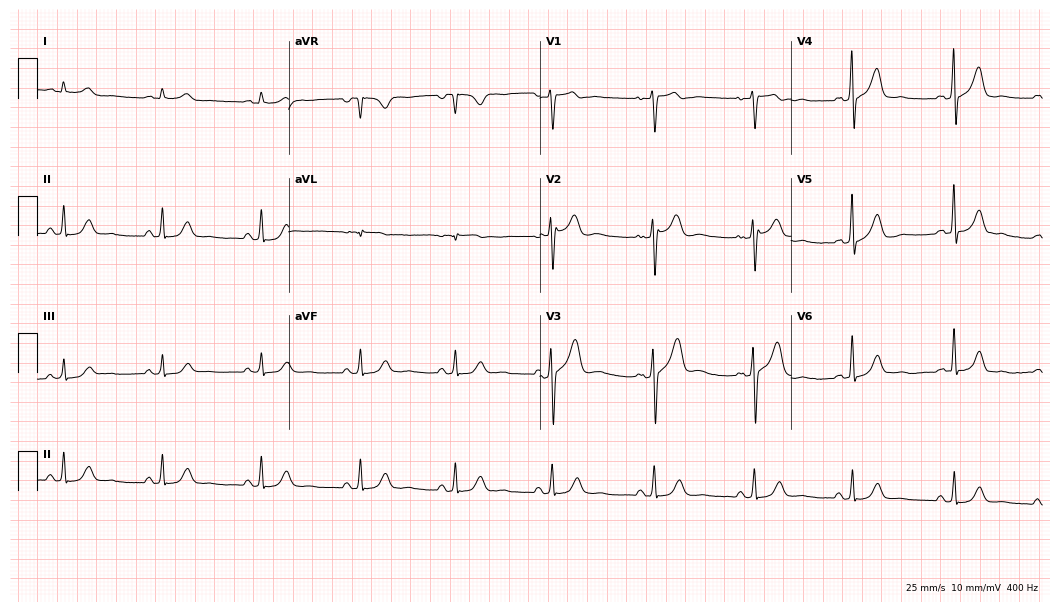
Electrocardiogram, a 51-year-old male. Overall reading on record: normal ECG.